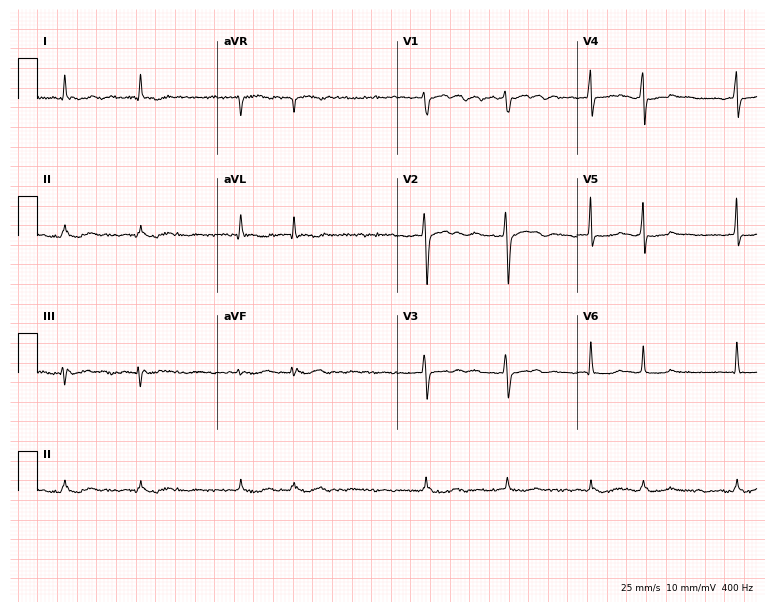
ECG — a 48-year-old female patient. Findings include atrial fibrillation.